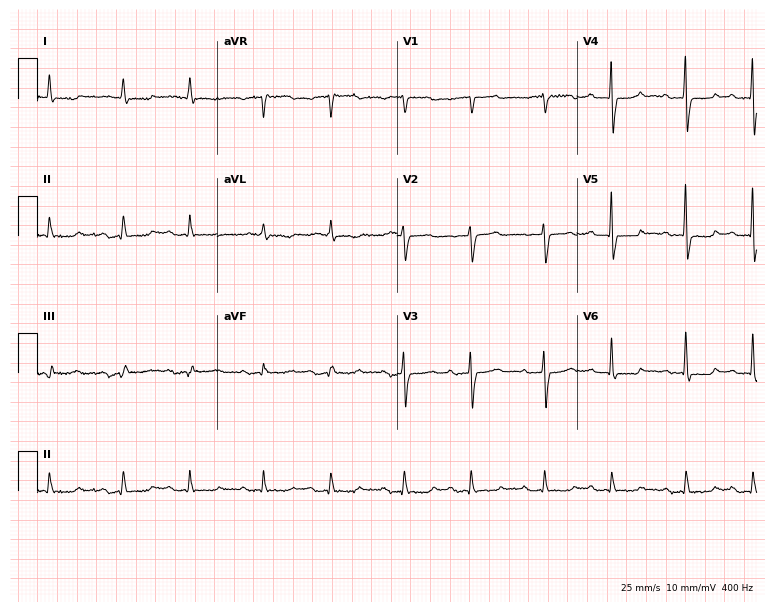
12-lead ECG (7.3-second recording at 400 Hz) from a woman, 81 years old. Screened for six findings — first-degree AV block, right bundle branch block, left bundle branch block, sinus bradycardia, atrial fibrillation, sinus tachycardia — none is recorded. Findings outside these six are not listed.